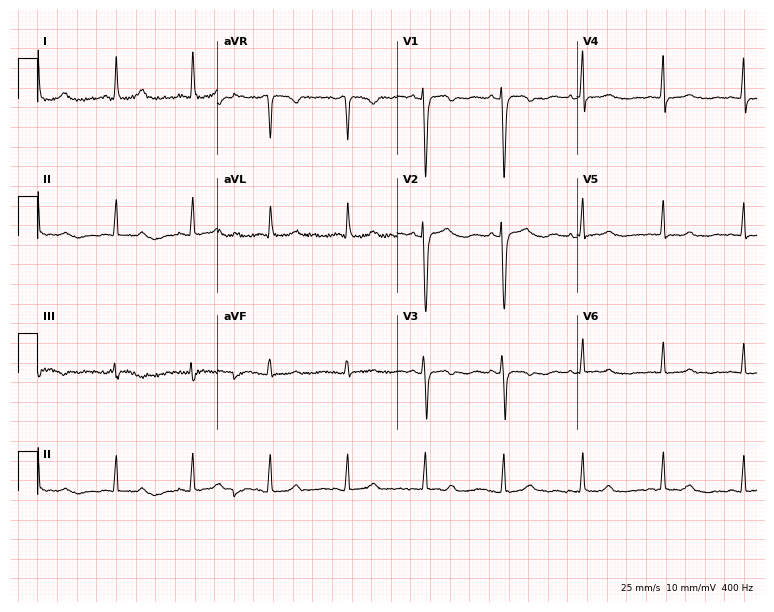
Resting 12-lead electrocardiogram. Patient: a 56-year-old female. None of these six findings is recorded: first-degree AV block, right bundle branch block, left bundle branch block, sinus bradycardia, atrial fibrillation, sinus tachycardia. Only these six findings were labelled.